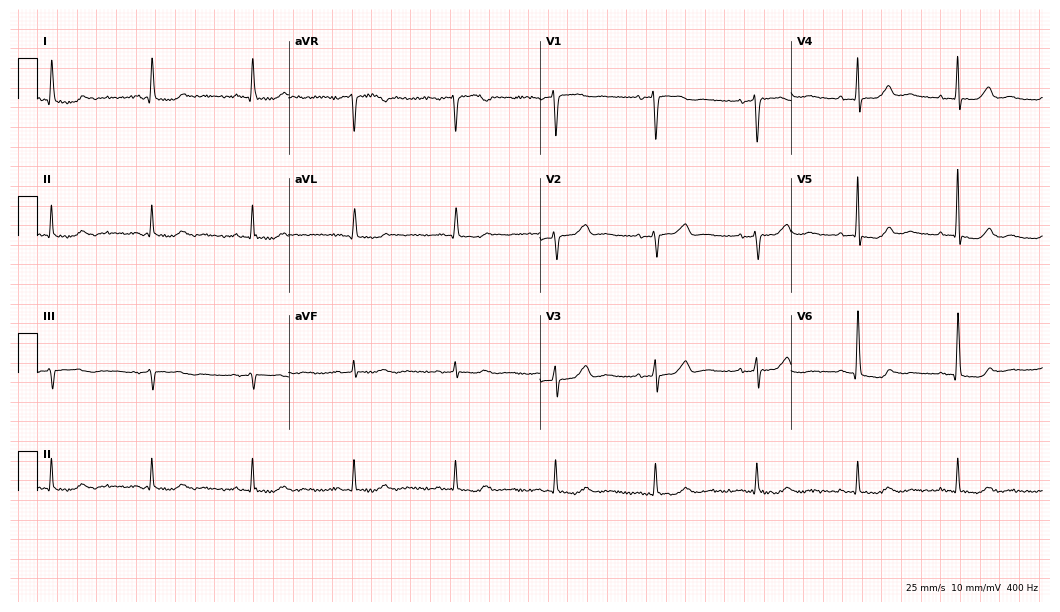
Standard 12-lead ECG recorded from a female patient, 75 years old. None of these six findings is recorded: first-degree AV block, right bundle branch block (RBBB), left bundle branch block (LBBB), sinus bradycardia, atrial fibrillation (AF), sinus tachycardia.